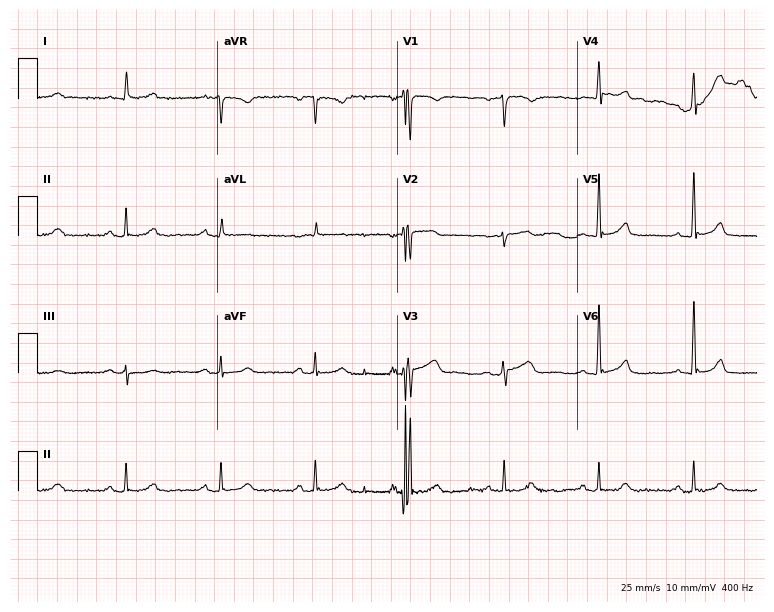
Electrocardiogram (7.3-second recording at 400 Hz), a 72-year-old male patient. Of the six screened findings (first-degree AV block, right bundle branch block (RBBB), left bundle branch block (LBBB), sinus bradycardia, atrial fibrillation (AF), sinus tachycardia), none is recorded.